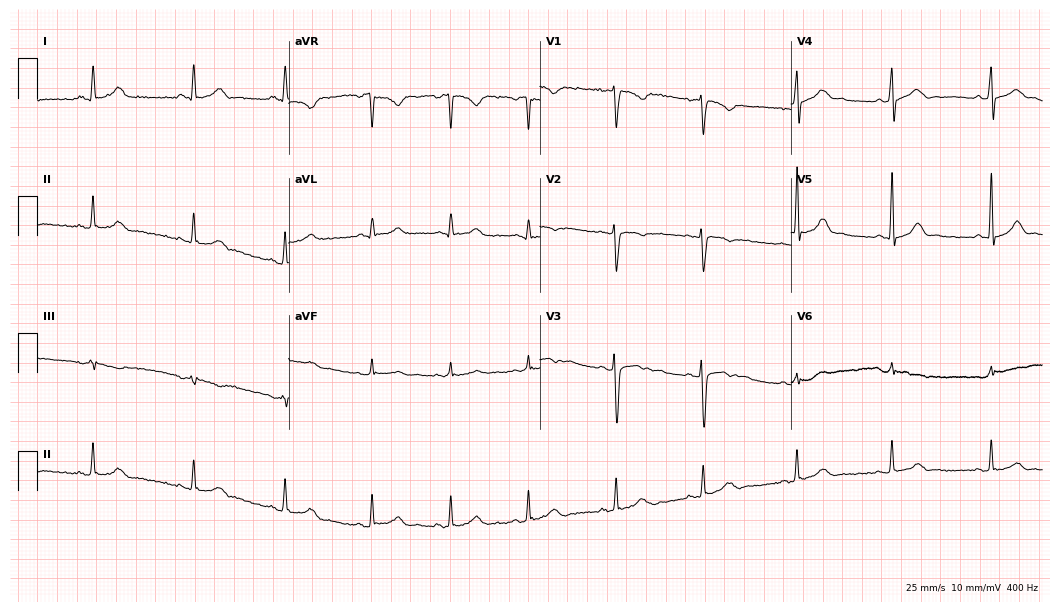
12-lead ECG from a female patient, 35 years old (10.2-second recording at 400 Hz). No first-degree AV block, right bundle branch block, left bundle branch block, sinus bradycardia, atrial fibrillation or sinus tachycardia recorded for this tracing. Findings outside these six are not listed.